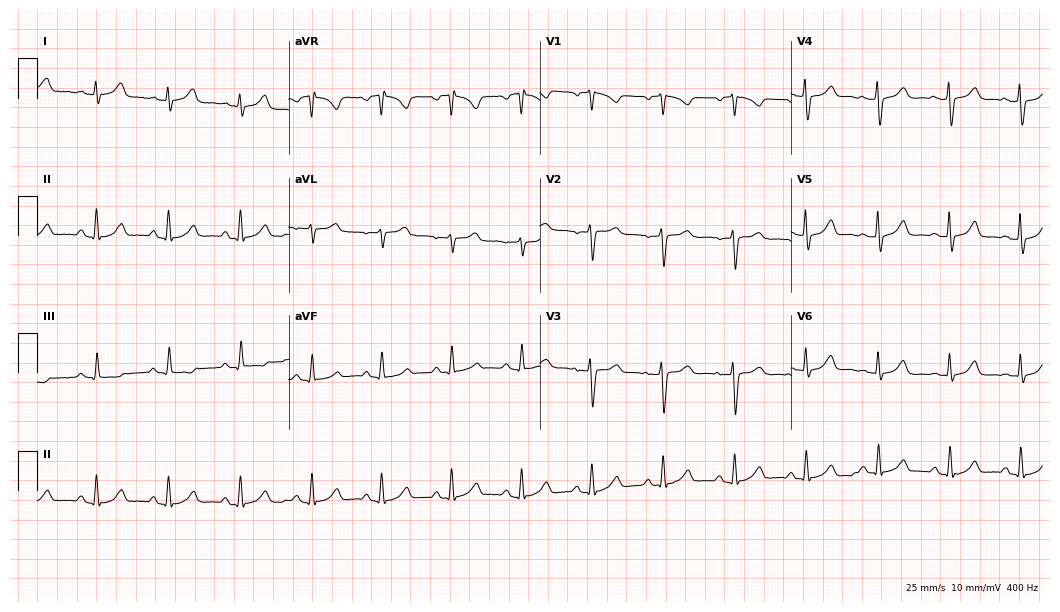
Resting 12-lead electrocardiogram (10.2-second recording at 400 Hz). Patient: a 51-year-old woman. Read as a normal ECG.